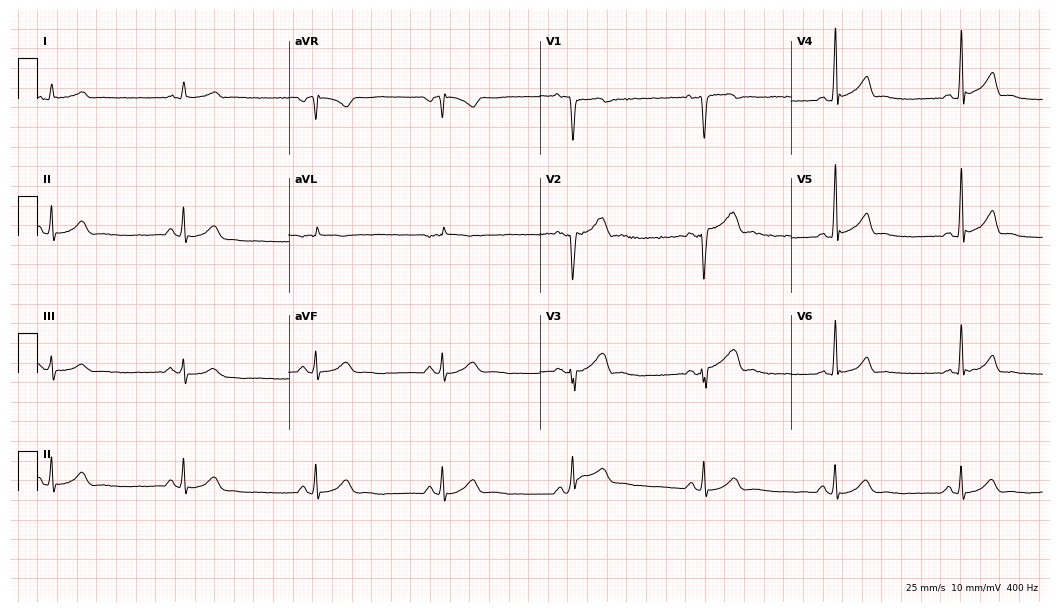
Electrocardiogram (10.2-second recording at 400 Hz), a man, 48 years old. Interpretation includes sinus bradycardia (a sinus rate of 50 beats per minute or less).